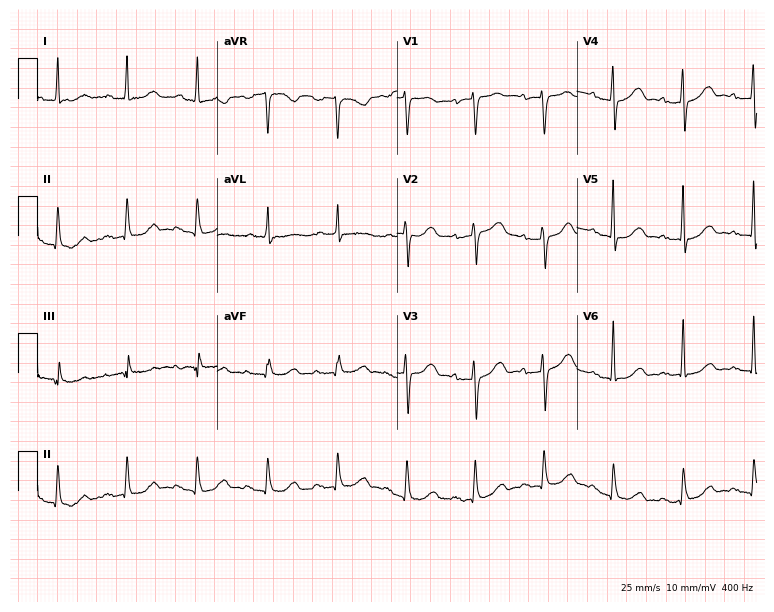
Standard 12-lead ECG recorded from a female patient, 74 years old. Read as a normal ECG.